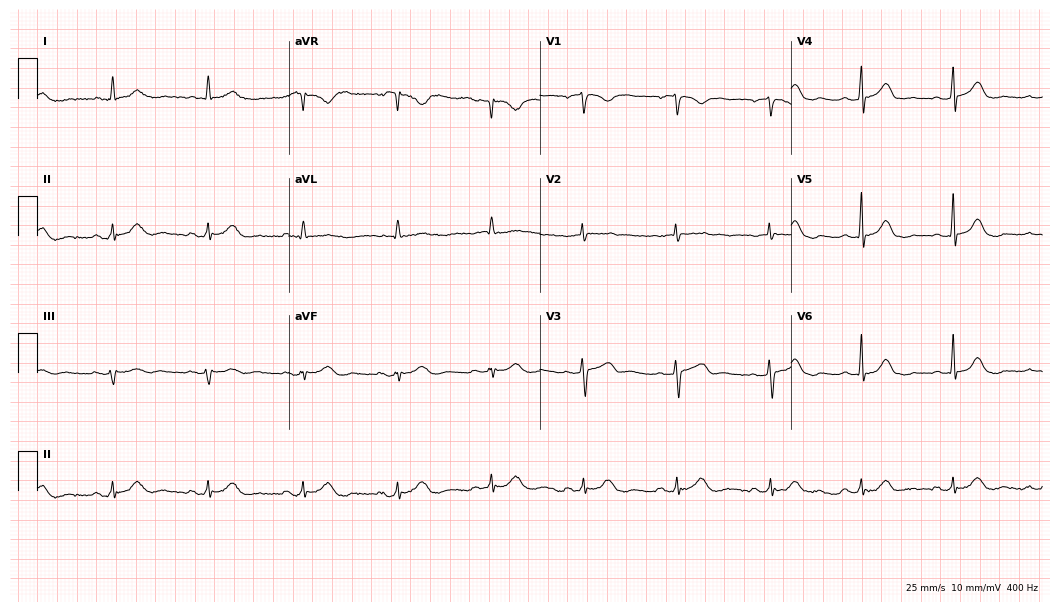
ECG — a 66-year-old woman. Labelled as a normal ECG.